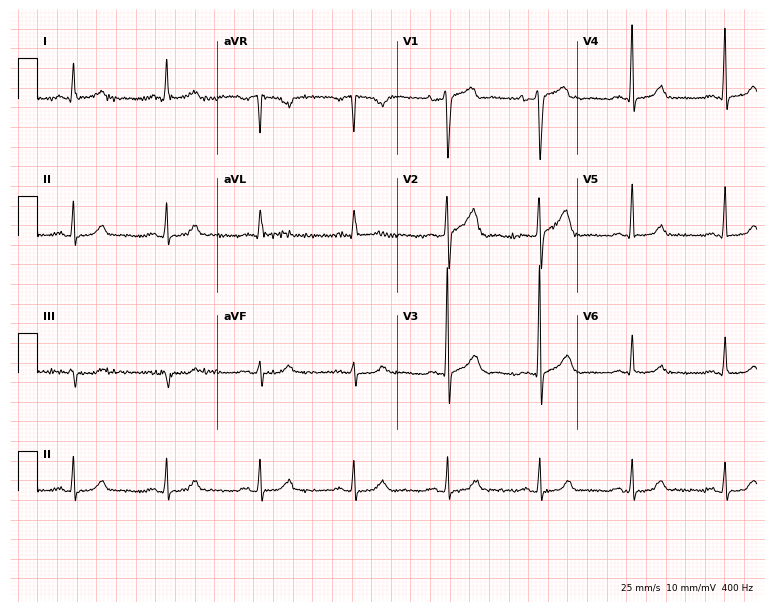
Standard 12-lead ECG recorded from a 61-year-old male. Read as a normal ECG.